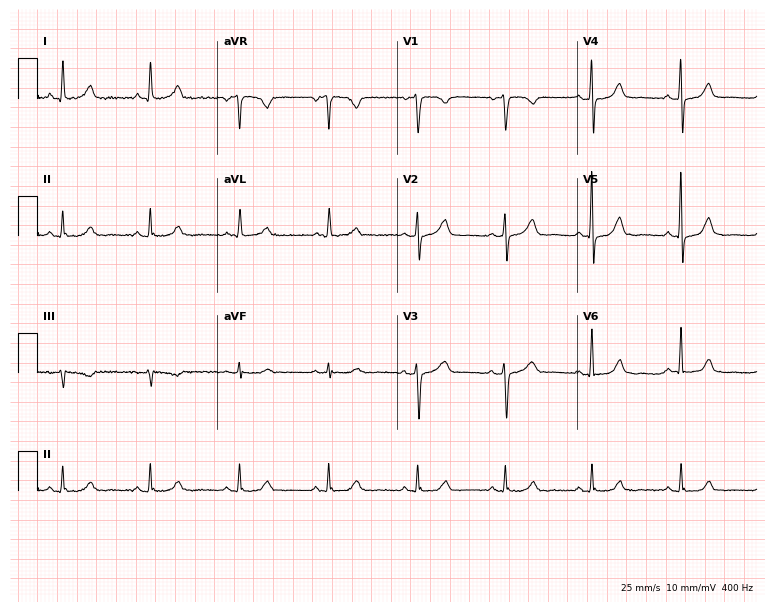
ECG (7.3-second recording at 400 Hz) — a female, 54 years old. Labelled as a normal ECG.